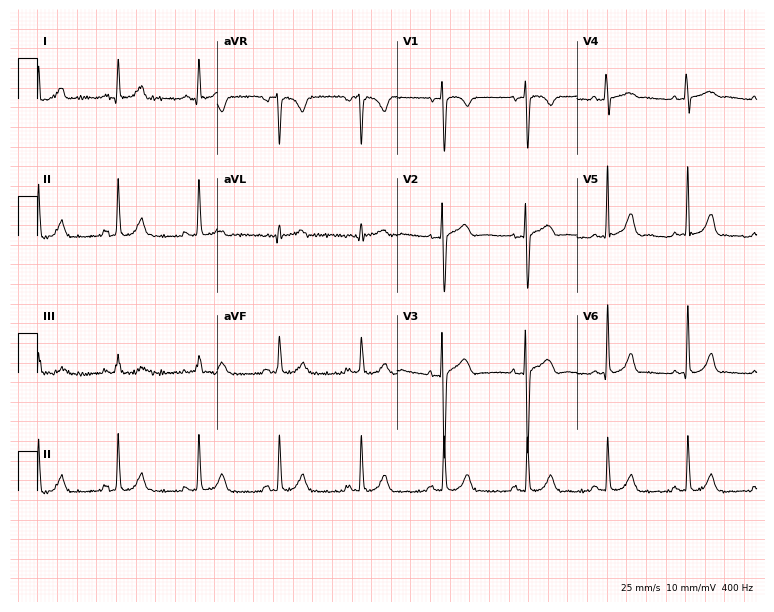
Electrocardiogram (7.3-second recording at 400 Hz), a female, 21 years old. Of the six screened findings (first-degree AV block, right bundle branch block, left bundle branch block, sinus bradycardia, atrial fibrillation, sinus tachycardia), none is recorded.